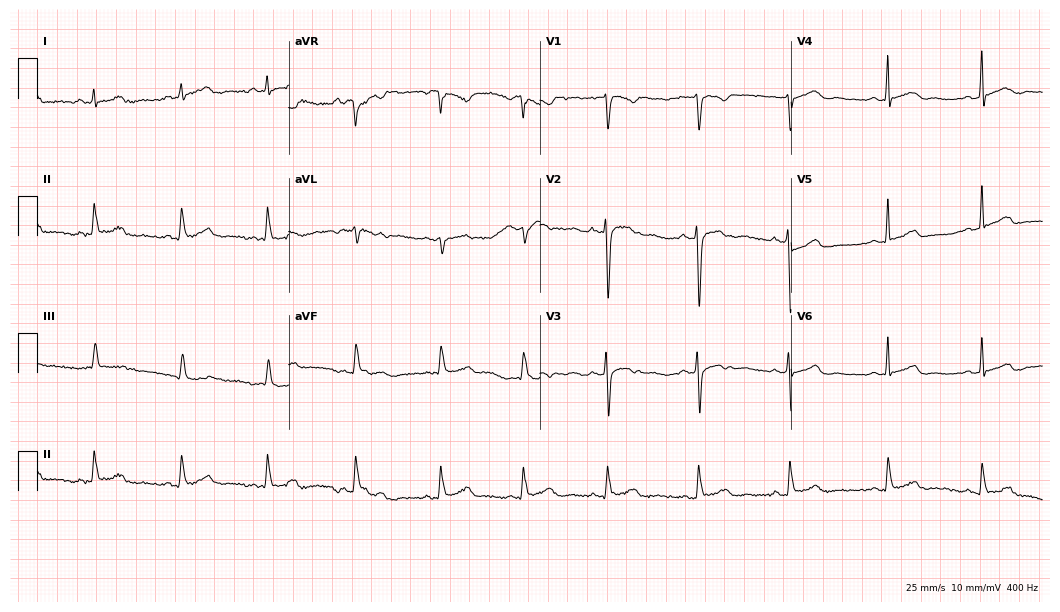
12-lead ECG (10.2-second recording at 400 Hz) from a female, 35 years old. Labelled as a normal ECG.